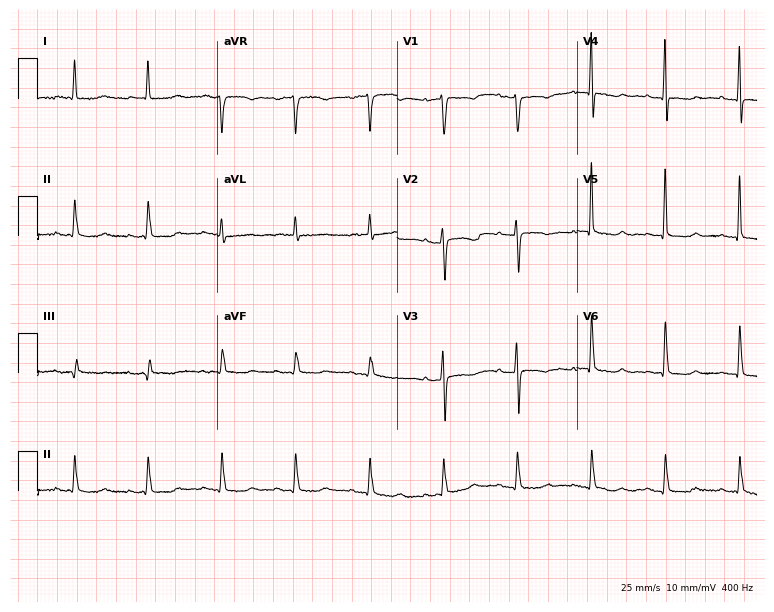
Electrocardiogram (7.3-second recording at 400 Hz), a female patient, 83 years old. Overall reading on record: normal ECG.